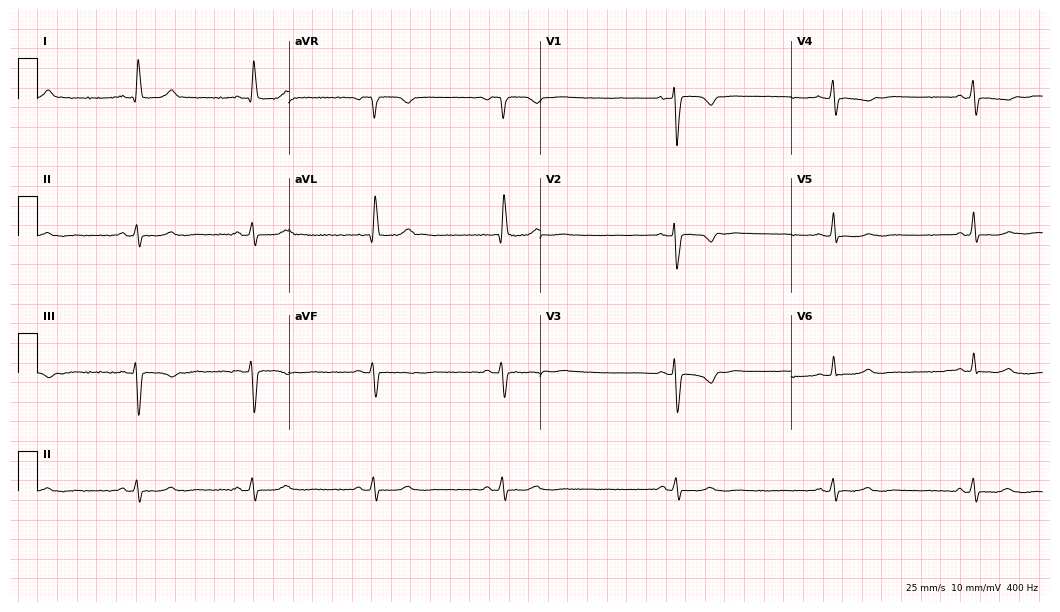
Resting 12-lead electrocardiogram (10.2-second recording at 400 Hz). Patient: a woman, 59 years old. None of these six findings is recorded: first-degree AV block, right bundle branch block, left bundle branch block, sinus bradycardia, atrial fibrillation, sinus tachycardia. Other findings, if any, are not listed.